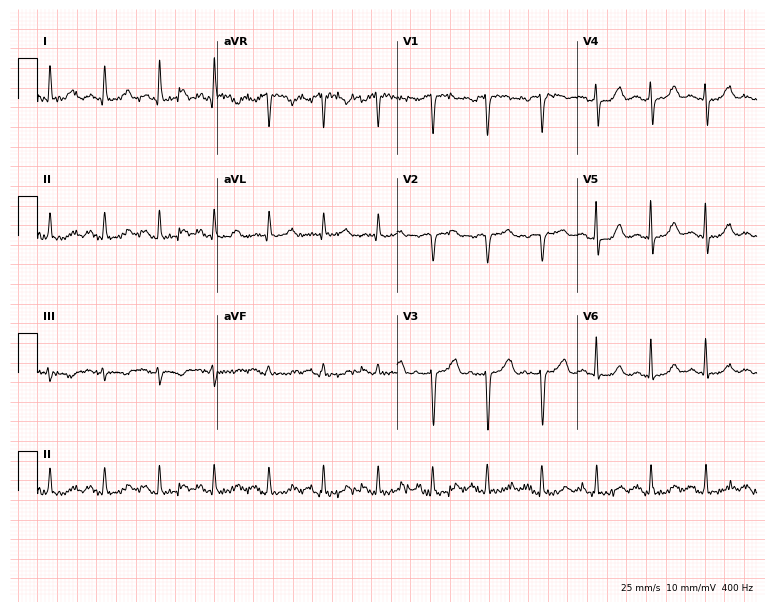
ECG — a 45-year-old female. Findings include sinus tachycardia (a sinus rate of 100 beats per minute or more).